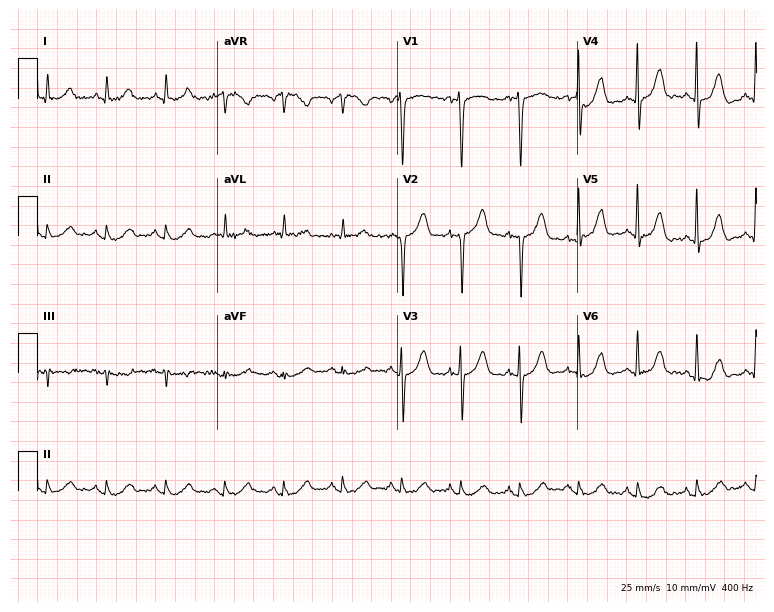
Resting 12-lead electrocardiogram. Patient: a 71-year-old female. None of these six findings is recorded: first-degree AV block, right bundle branch block, left bundle branch block, sinus bradycardia, atrial fibrillation, sinus tachycardia. Findings outside these six are not listed.